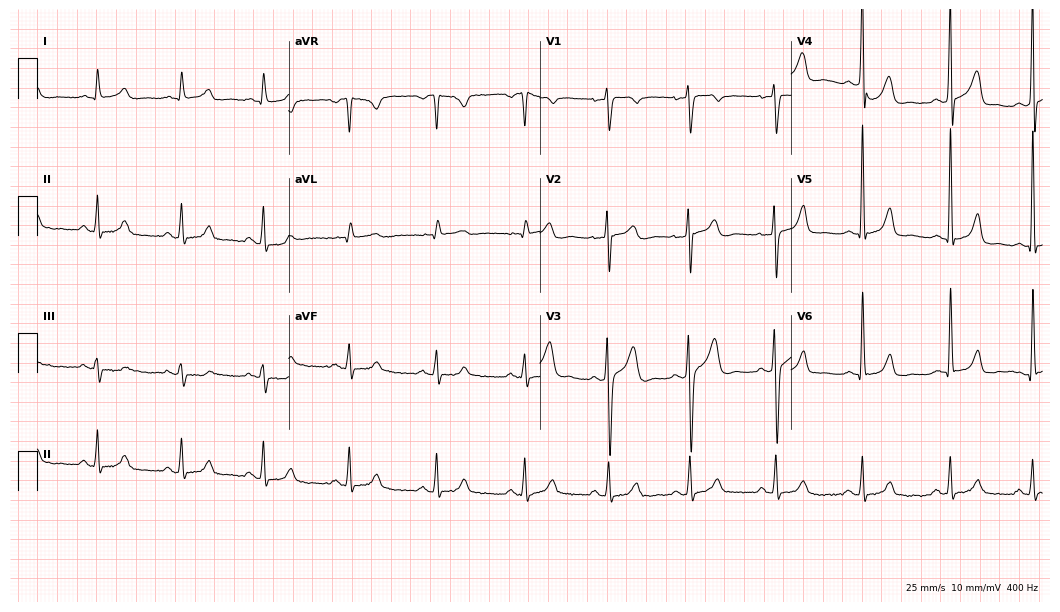
12-lead ECG from a man, 33 years old. No first-degree AV block, right bundle branch block (RBBB), left bundle branch block (LBBB), sinus bradycardia, atrial fibrillation (AF) or sinus tachycardia recorded for this tracing.